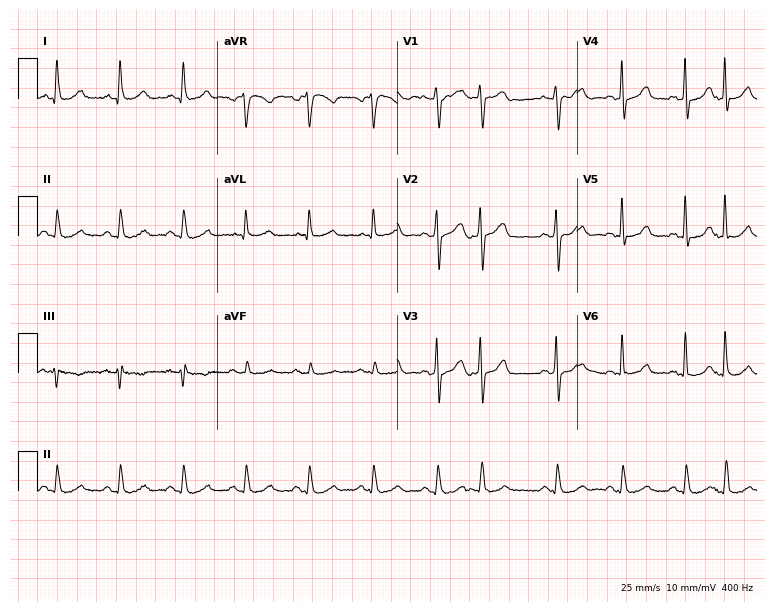
12-lead ECG from a 73-year-old man. Recorded interpretation: within normal limits.